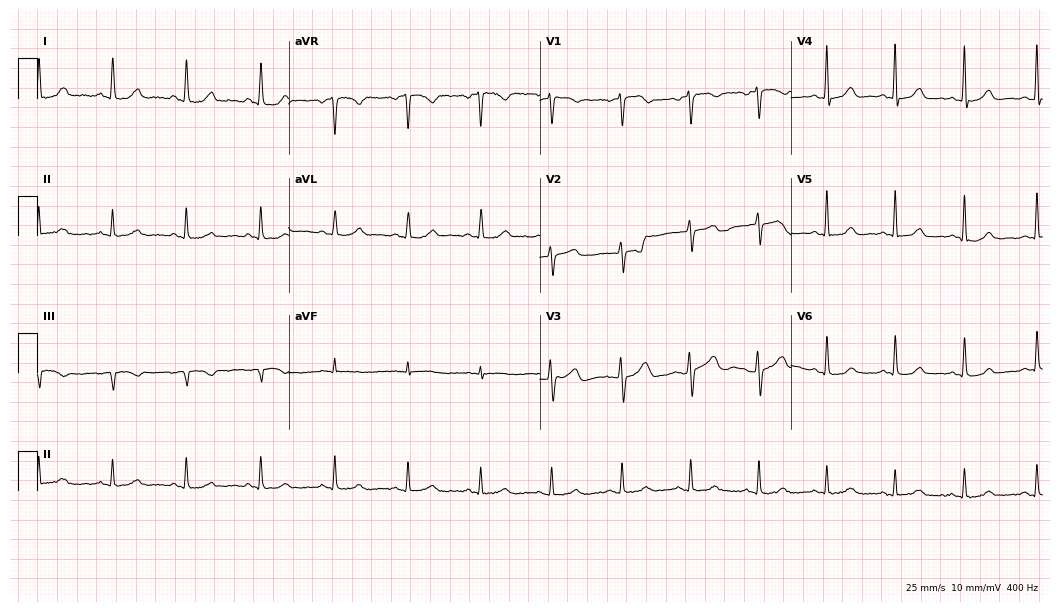
12-lead ECG from a female patient, 60 years old. Recorded interpretation: within normal limits.